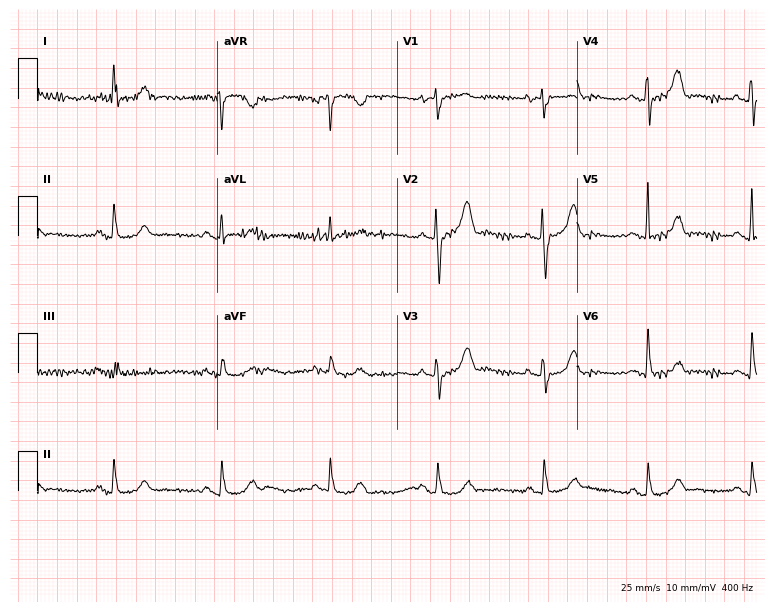
Electrocardiogram, a female patient, 77 years old. Overall reading on record: normal ECG.